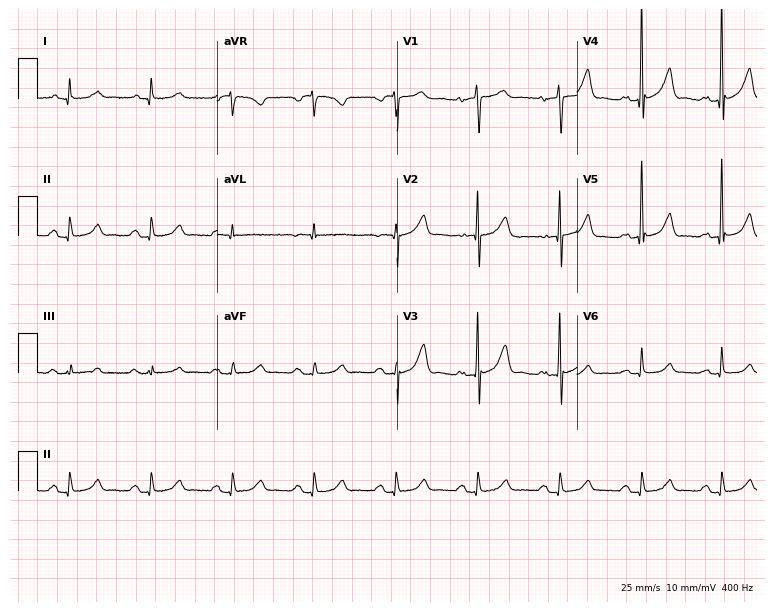
Electrocardiogram (7.3-second recording at 400 Hz), a female patient, 84 years old. Overall reading on record: normal ECG.